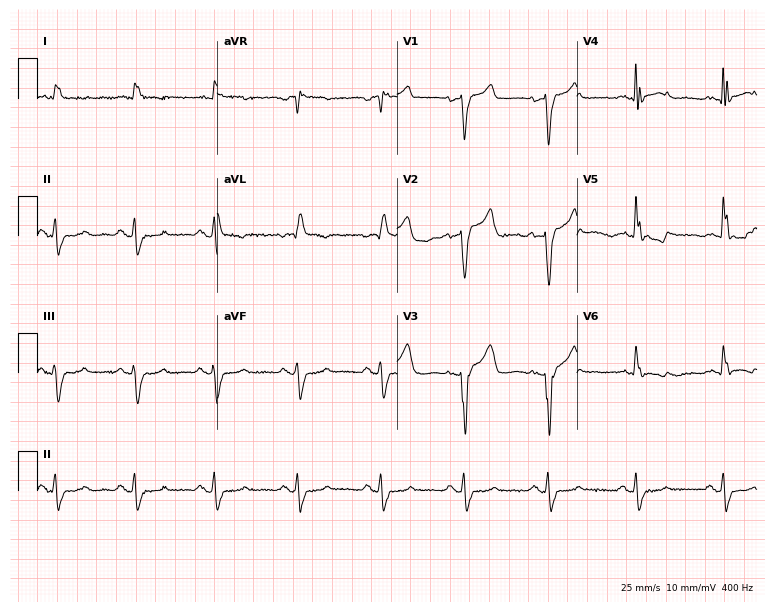
Electrocardiogram, an 82-year-old male. Of the six screened findings (first-degree AV block, right bundle branch block, left bundle branch block, sinus bradycardia, atrial fibrillation, sinus tachycardia), none is recorded. Findings outside these six are not listed.